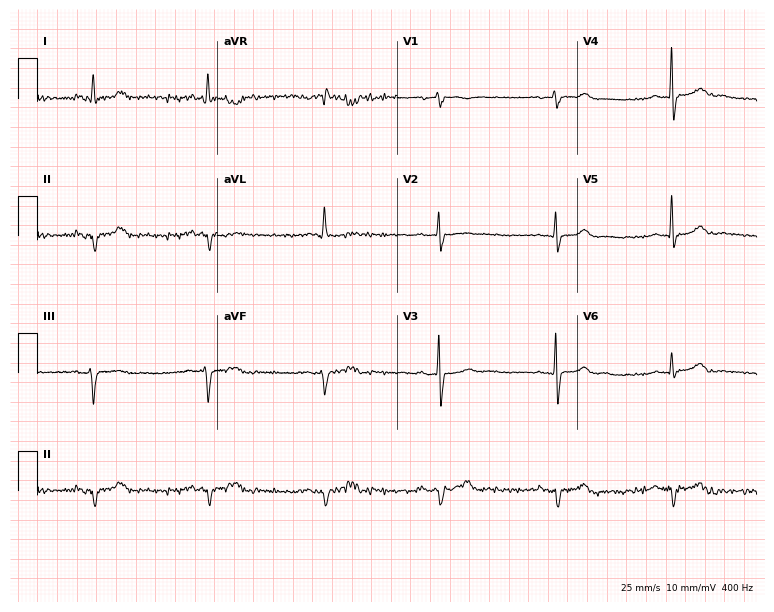
Standard 12-lead ECG recorded from a 78-year-old male patient. None of these six findings is recorded: first-degree AV block, right bundle branch block, left bundle branch block, sinus bradycardia, atrial fibrillation, sinus tachycardia. Only these six findings were labelled.